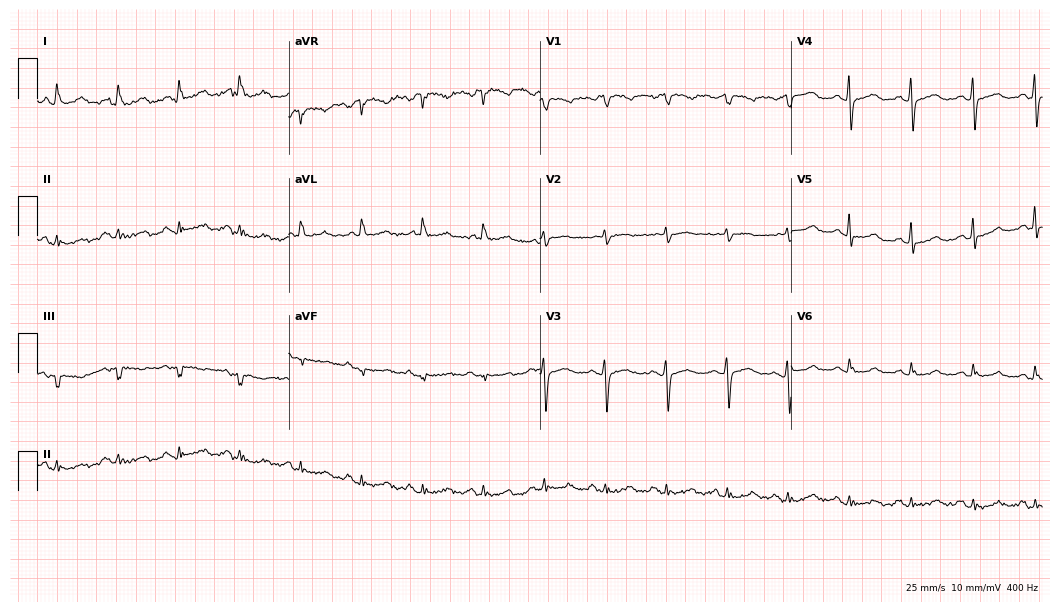
Standard 12-lead ECG recorded from a female, 72 years old. None of these six findings is recorded: first-degree AV block, right bundle branch block, left bundle branch block, sinus bradycardia, atrial fibrillation, sinus tachycardia. Other findings, if any, are not listed.